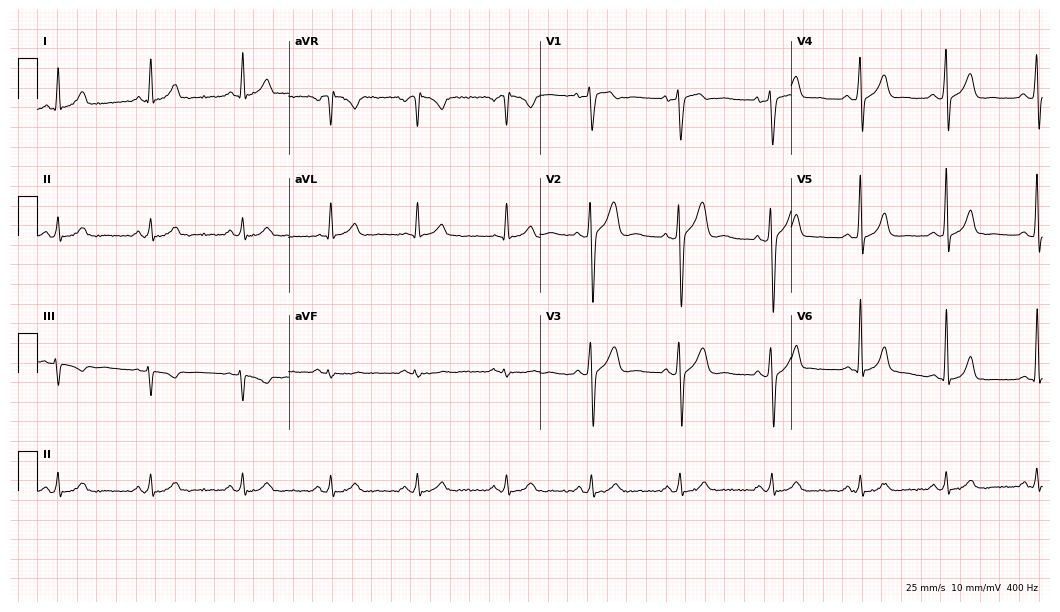
12-lead ECG from a man, 25 years old (10.2-second recording at 400 Hz). Recorded interpretation: within normal limits.